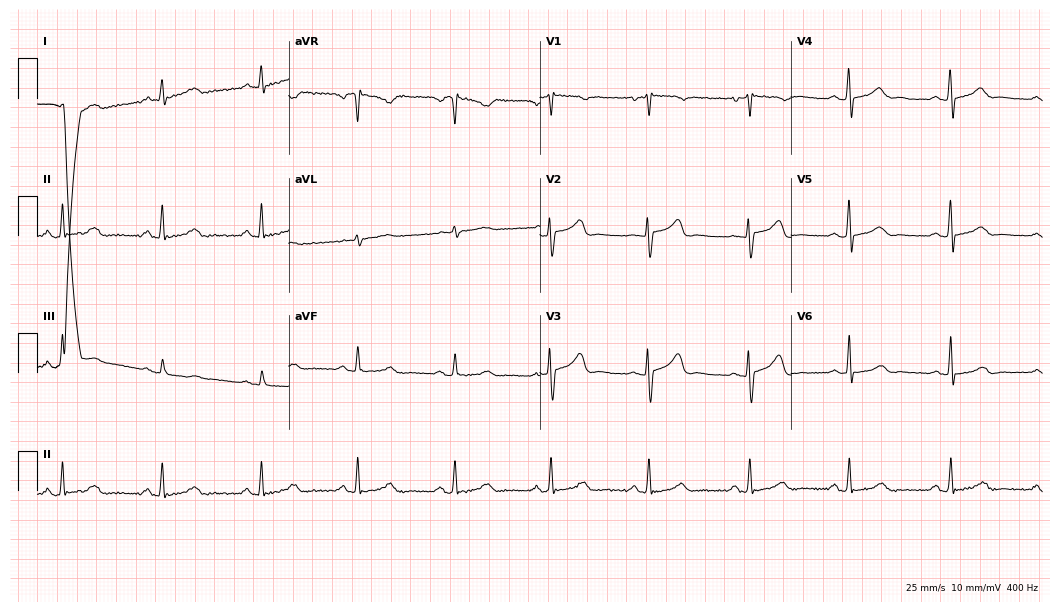
Standard 12-lead ECG recorded from a 58-year-old female (10.2-second recording at 400 Hz). Read as a normal ECG.